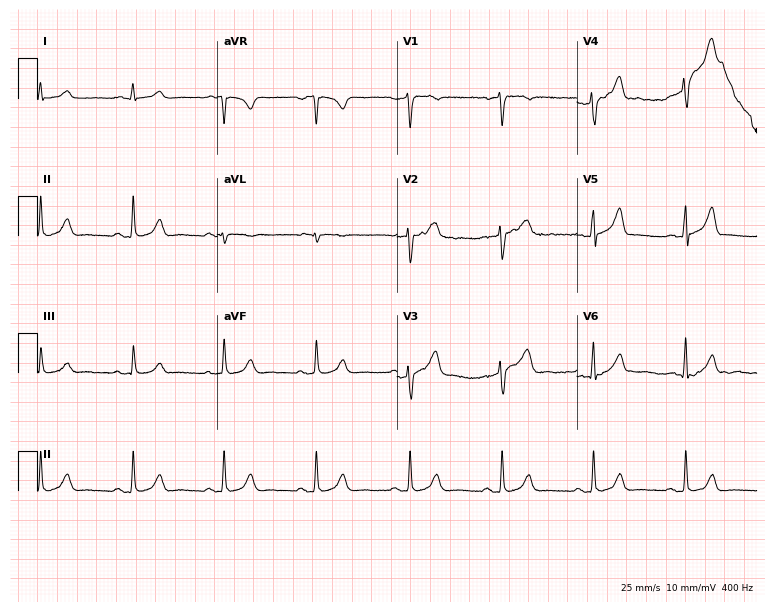
ECG — a male, 53 years old. Screened for six findings — first-degree AV block, right bundle branch block, left bundle branch block, sinus bradycardia, atrial fibrillation, sinus tachycardia — none is recorded. Other findings, if any, are not listed.